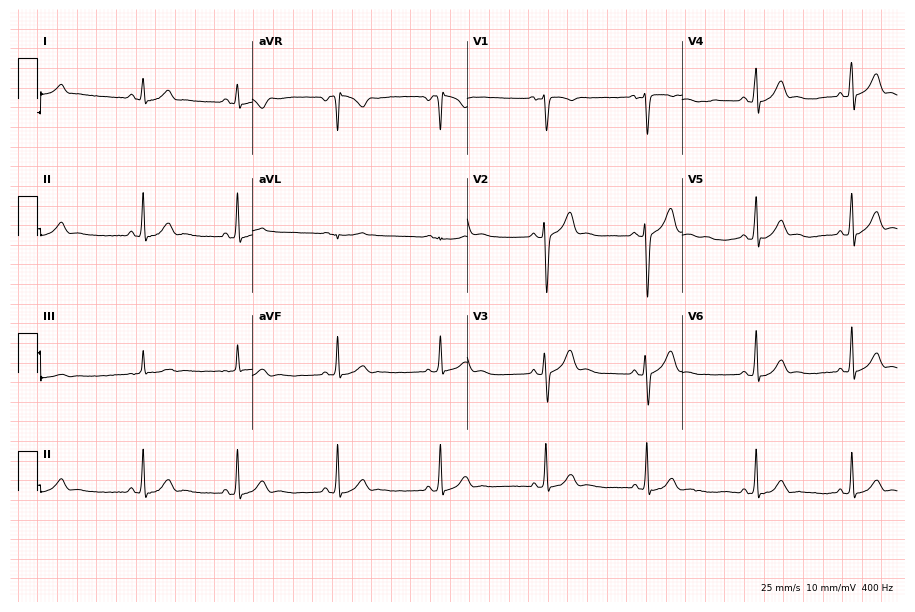
12-lead ECG (8.8-second recording at 400 Hz) from a 19-year-old male. Labelled as a normal ECG.